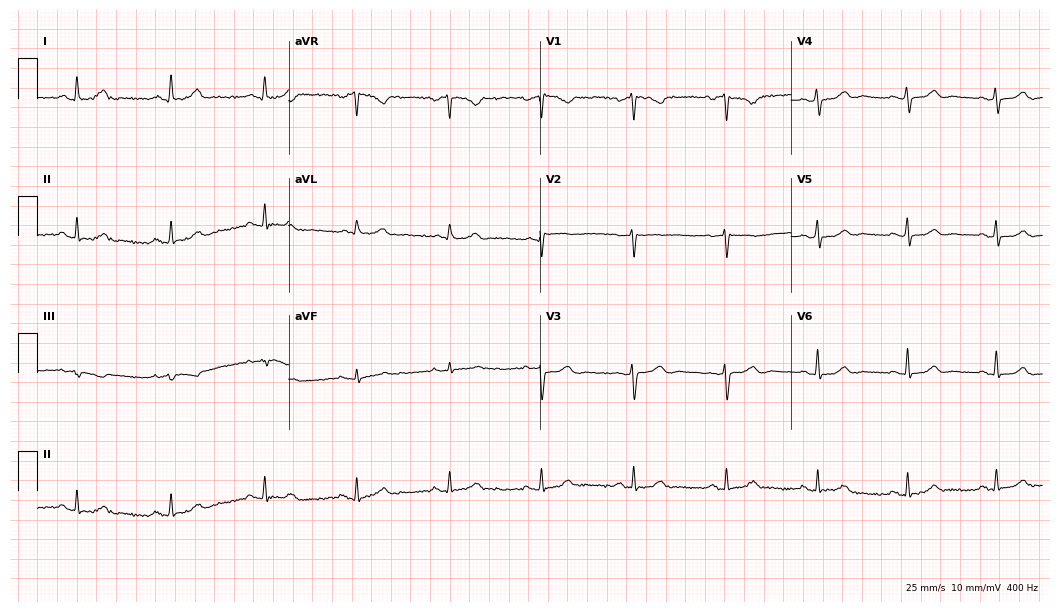
12-lead ECG from a 57-year-old female patient (10.2-second recording at 400 Hz). Recorded interpretation: within normal limits.